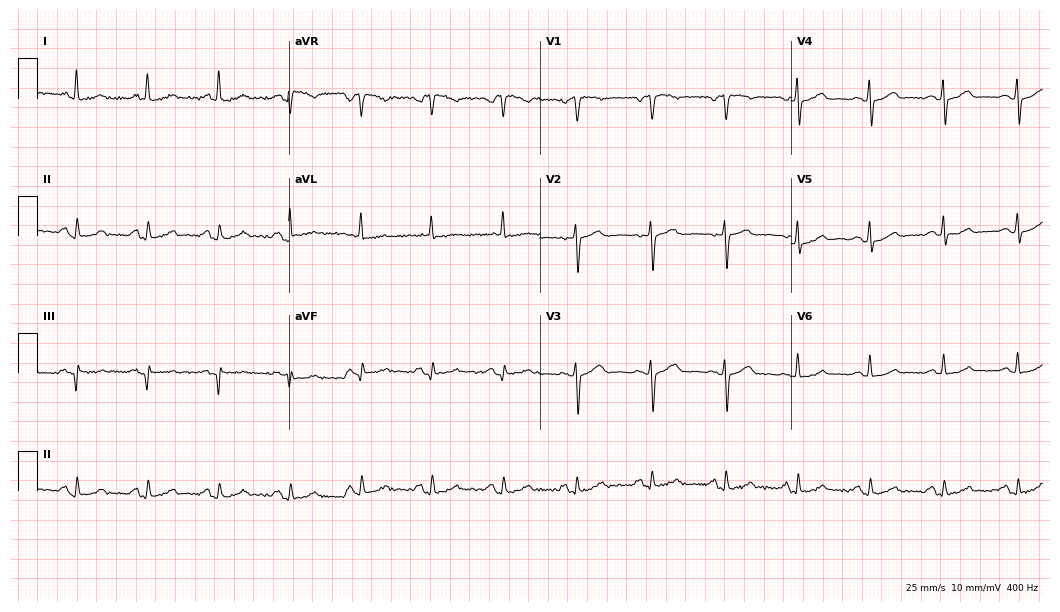
Resting 12-lead electrocardiogram. Patient: a woman, 44 years old. Read as a normal ECG.